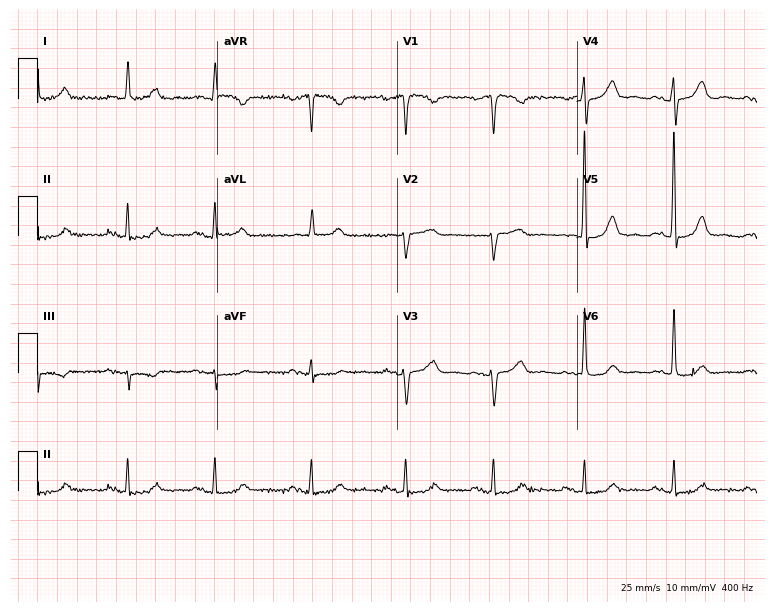
Resting 12-lead electrocardiogram. Patient: a 67-year-old female. None of these six findings is recorded: first-degree AV block, right bundle branch block, left bundle branch block, sinus bradycardia, atrial fibrillation, sinus tachycardia. Only these six findings were labelled.